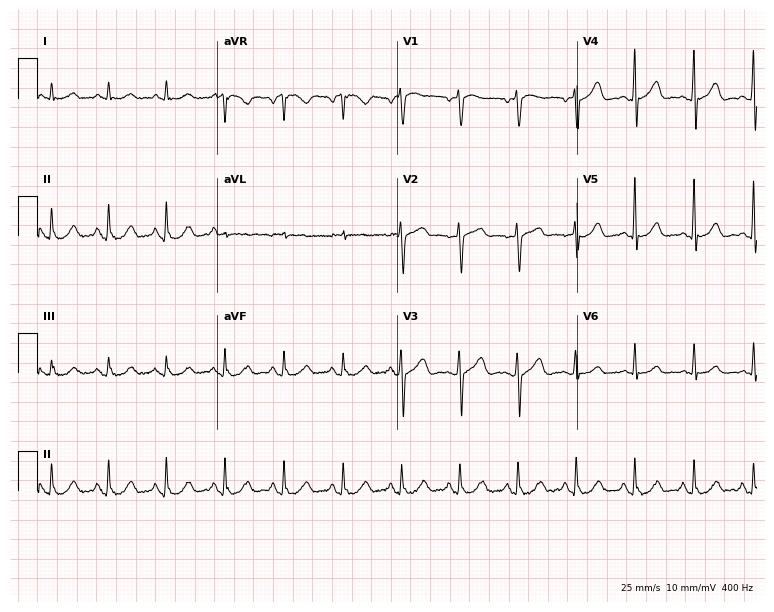
Electrocardiogram, a male patient, 83 years old. Interpretation includes sinus tachycardia (a sinus rate of 100 beats per minute or more).